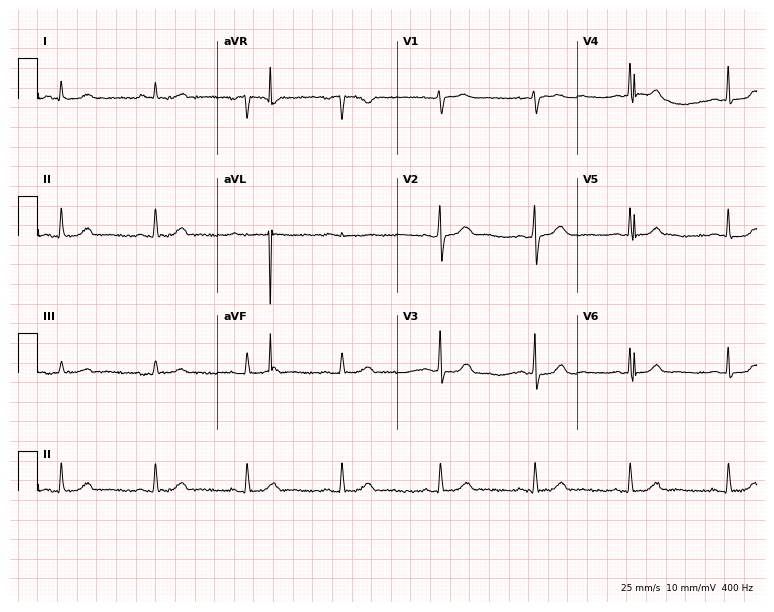
12-lead ECG from a female patient, 45 years old. Screened for six findings — first-degree AV block, right bundle branch block (RBBB), left bundle branch block (LBBB), sinus bradycardia, atrial fibrillation (AF), sinus tachycardia — none is recorded. Findings outside these six are not listed.